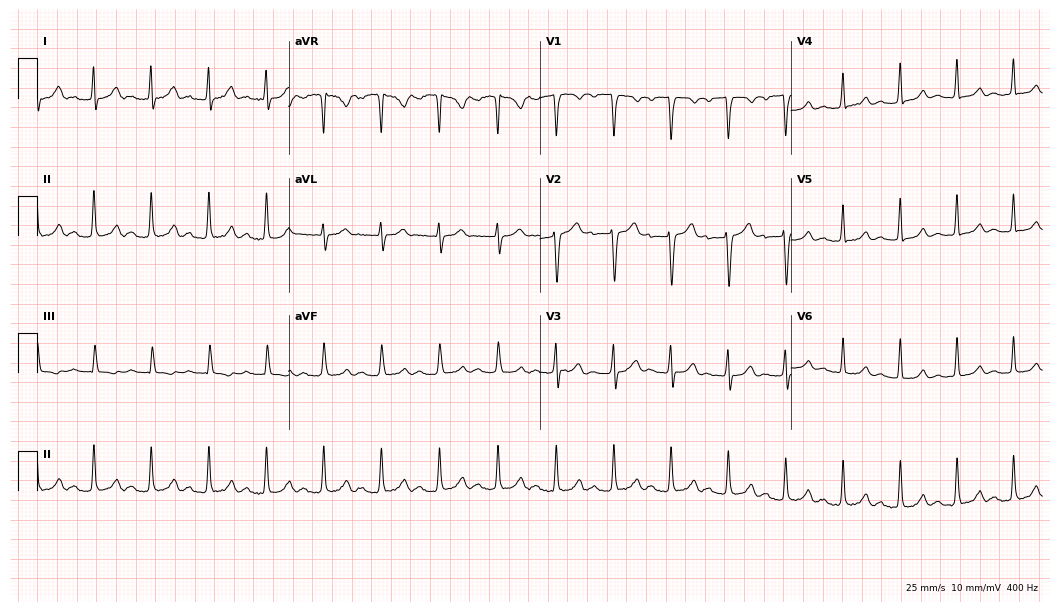
12-lead ECG from a 39-year-old woman. Shows first-degree AV block, sinus tachycardia (a sinus rate of 100 beats per minute or more).